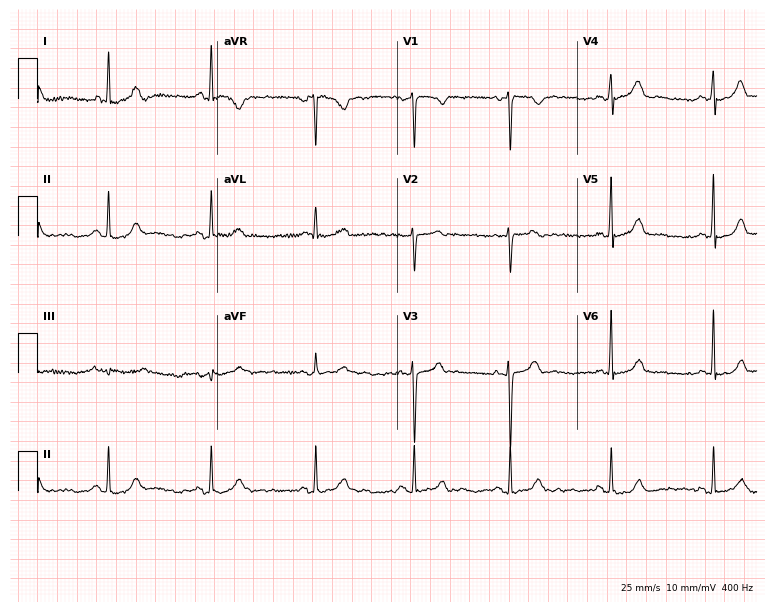
Resting 12-lead electrocardiogram (7.3-second recording at 400 Hz). Patient: a 34-year-old female. Read as a normal ECG.